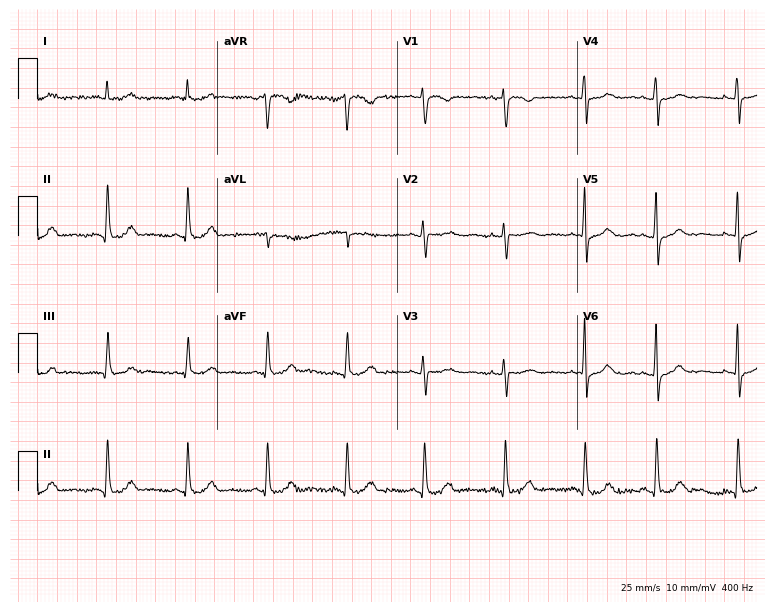
ECG — a 73-year-old female. Labelled as a normal ECG.